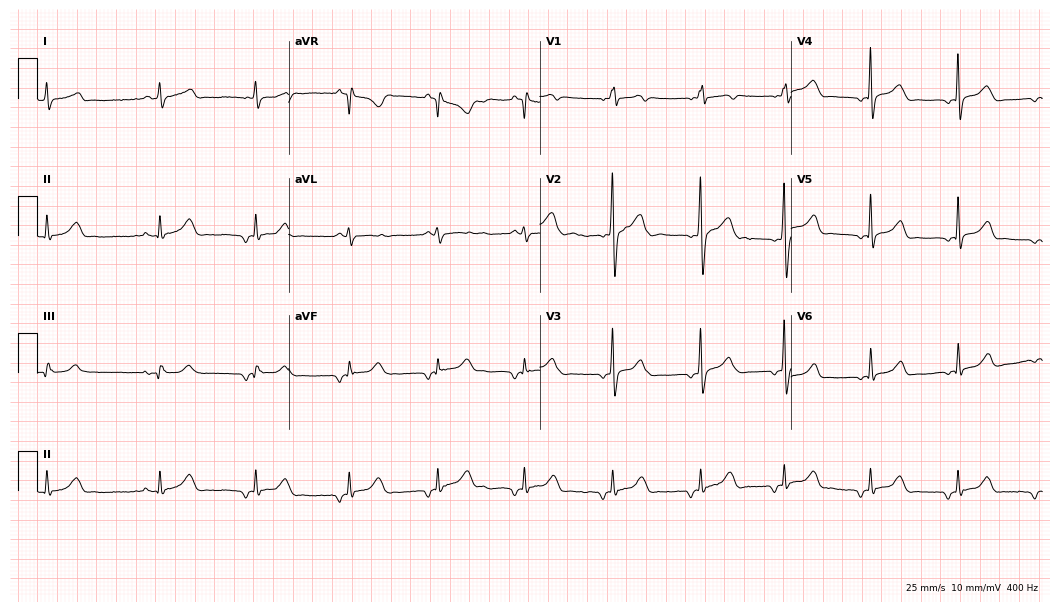
Standard 12-lead ECG recorded from a 24-year-old woman. Read as a normal ECG.